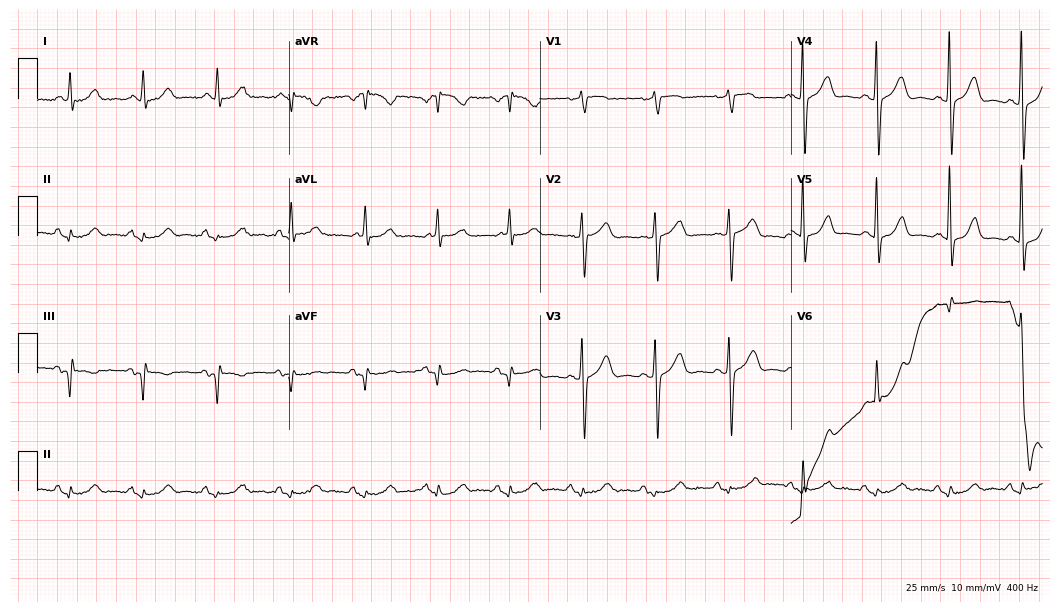
12-lead ECG from a woman, 76 years old. No first-degree AV block, right bundle branch block, left bundle branch block, sinus bradycardia, atrial fibrillation or sinus tachycardia recorded for this tracing.